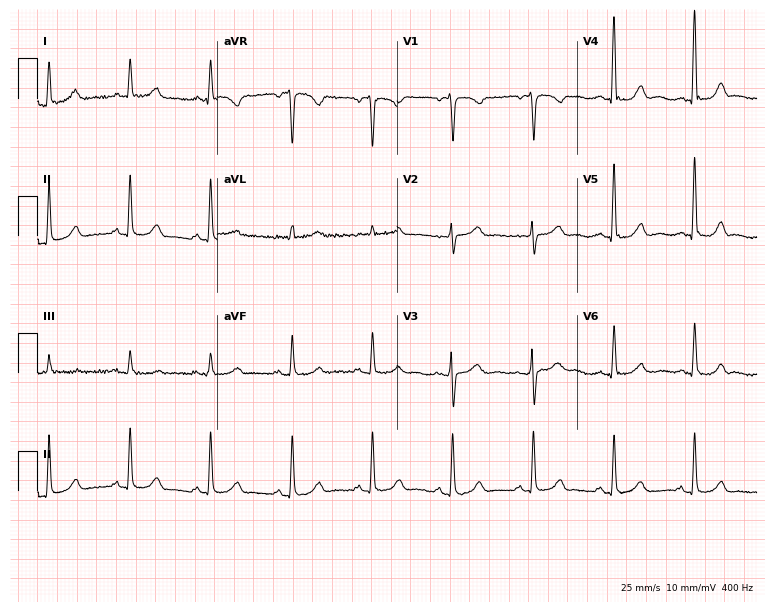
Standard 12-lead ECG recorded from a 56-year-old woman. Read as a normal ECG.